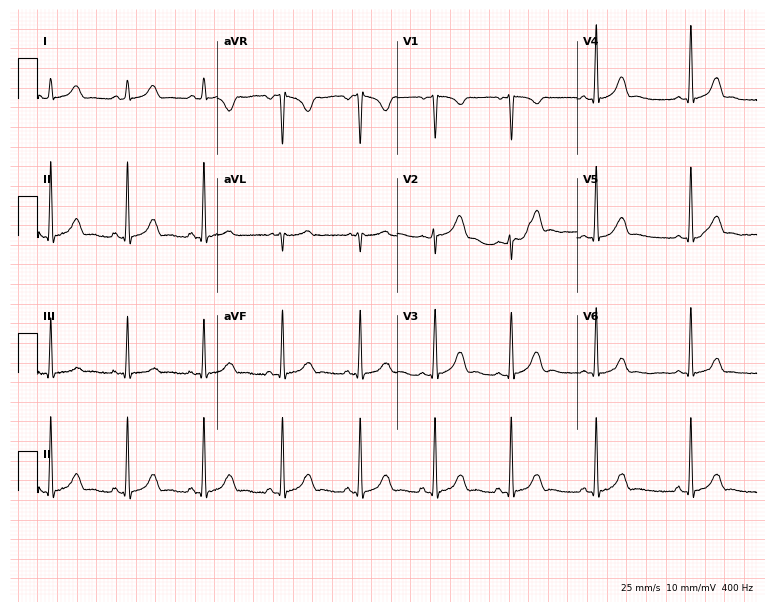
Resting 12-lead electrocardiogram. Patient: a 25-year-old female. None of these six findings is recorded: first-degree AV block, right bundle branch block (RBBB), left bundle branch block (LBBB), sinus bradycardia, atrial fibrillation (AF), sinus tachycardia. Findings outside these six are not listed.